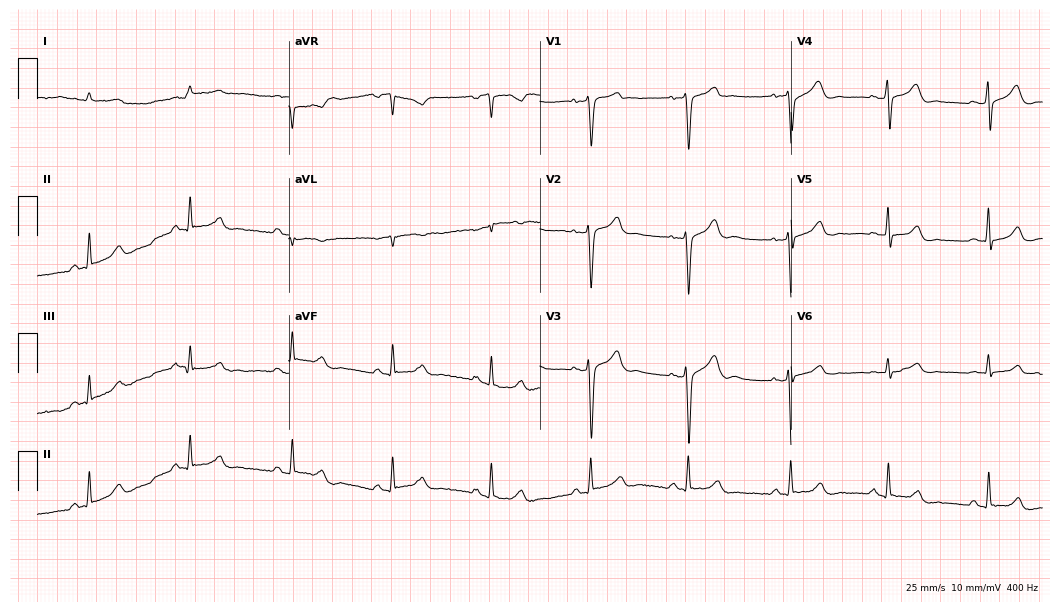
Electrocardiogram (10.2-second recording at 400 Hz), a 34-year-old man. Of the six screened findings (first-degree AV block, right bundle branch block, left bundle branch block, sinus bradycardia, atrial fibrillation, sinus tachycardia), none is recorded.